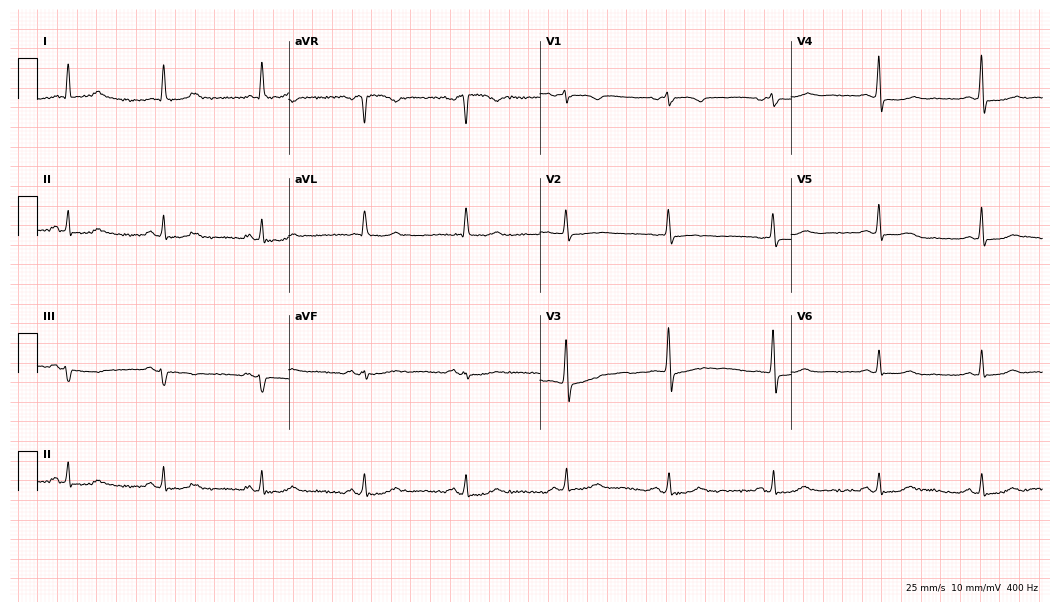
ECG (10.2-second recording at 400 Hz) — a 71-year-old woman. Labelled as a normal ECG.